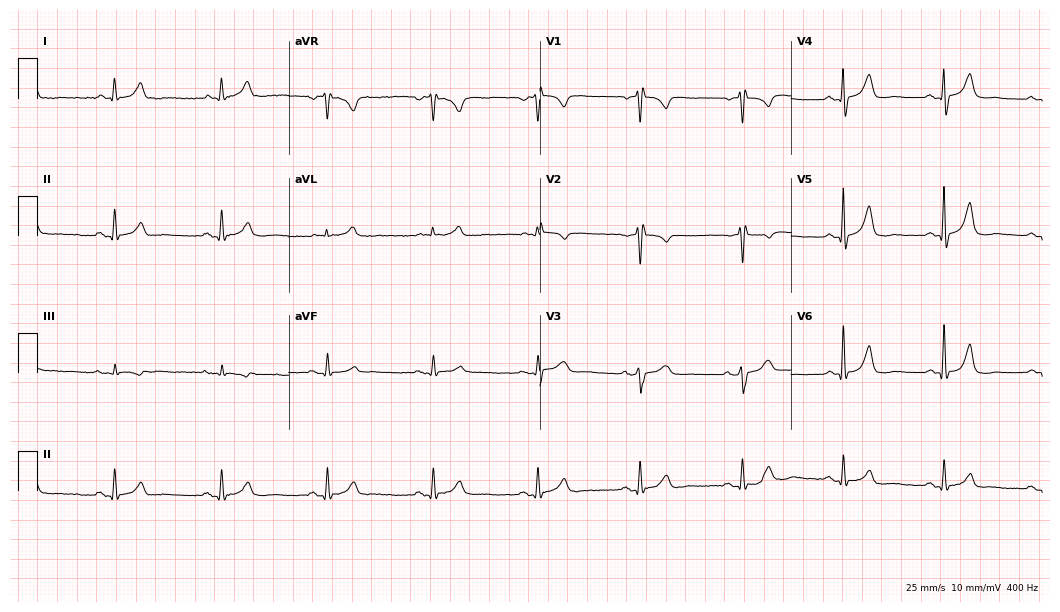
12-lead ECG from a male patient, 80 years old. Screened for six findings — first-degree AV block, right bundle branch block (RBBB), left bundle branch block (LBBB), sinus bradycardia, atrial fibrillation (AF), sinus tachycardia — none is recorded. Findings outside these six are not listed.